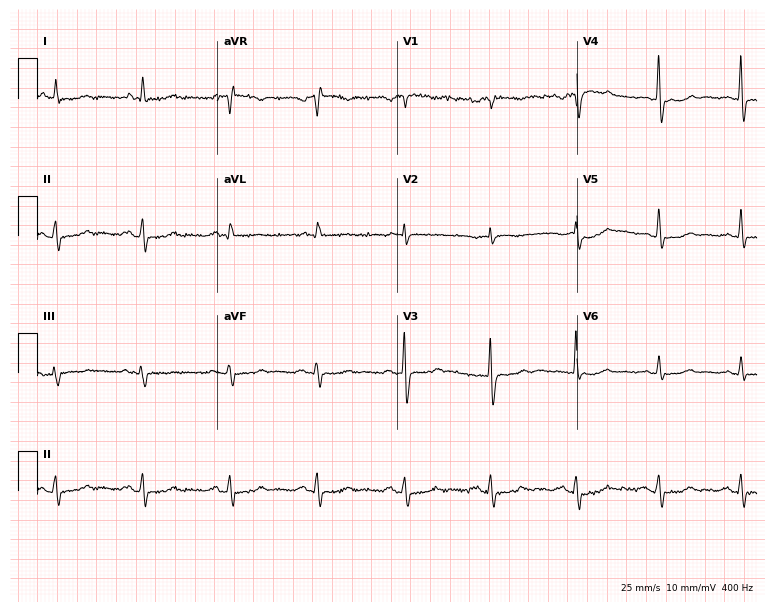
ECG — a 78-year-old man. Screened for six findings — first-degree AV block, right bundle branch block, left bundle branch block, sinus bradycardia, atrial fibrillation, sinus tachycardia — none is recorded.